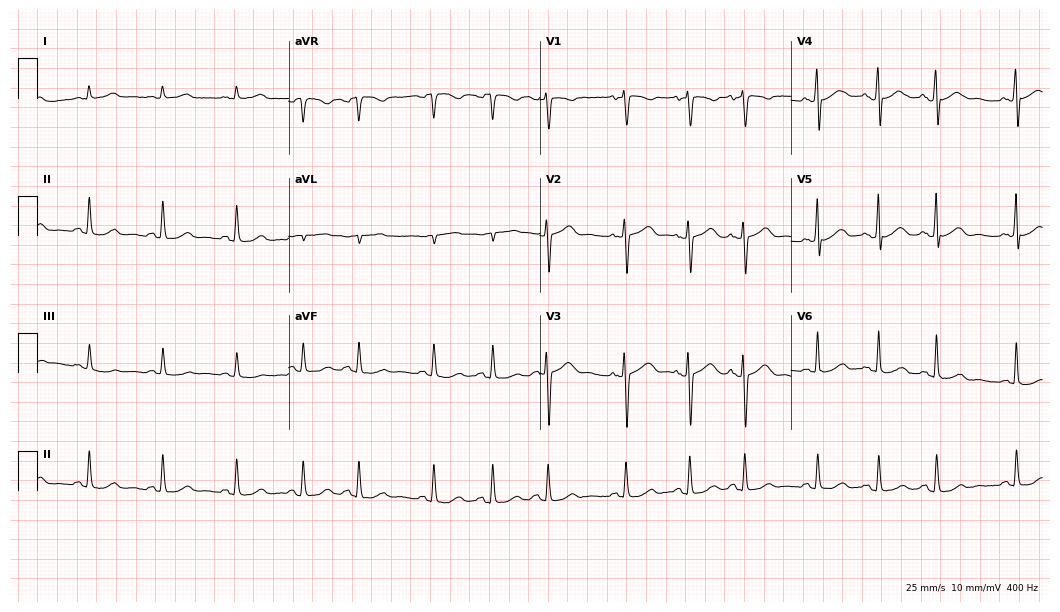
Electrocardiogram, a 78-year-old female patient. Of the six screened findings (first-degree AV block, right bundle branch block, left bundle branch block, sinus bradycardia, atrial fibrillation, sinus tachycardia), none is recorded. Findings outside these six are not listed.